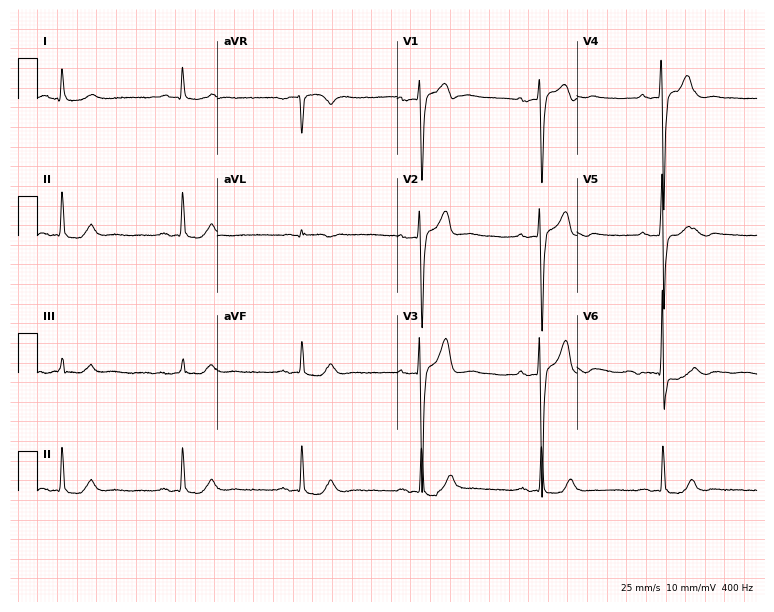
Electrocardiogram, a 71-year-old male patient. Interpretation includes first-degree AV block, sinus bradycardia (a sinus rate of 50 beats per minute or less).